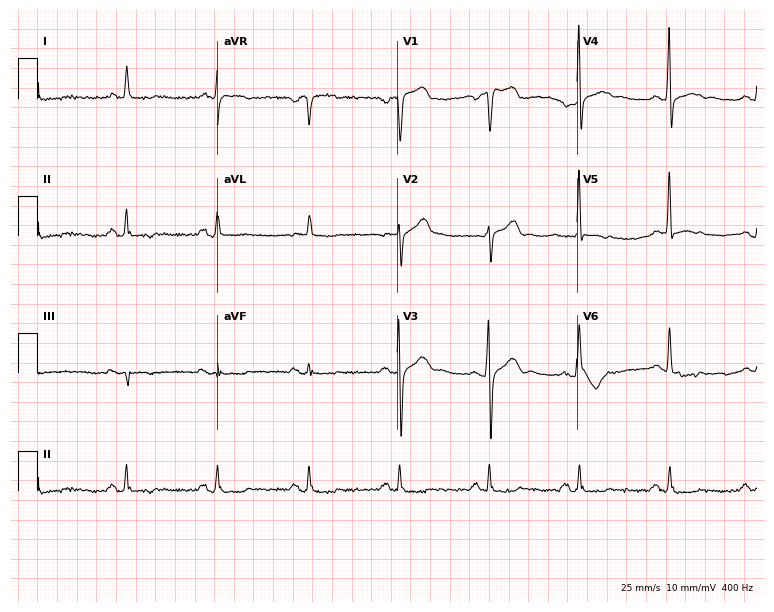
Standard 12-lead ECG recorded from a man, 54 years old (7.3-second recording at 400 Hz). None of these six findings is recorded: first-degree AV block, right bundle branch block (RBBB), left bundle branch block (LBBB), sinus bradycardia, atrial fibrillation (AF), sinus tachycardia.